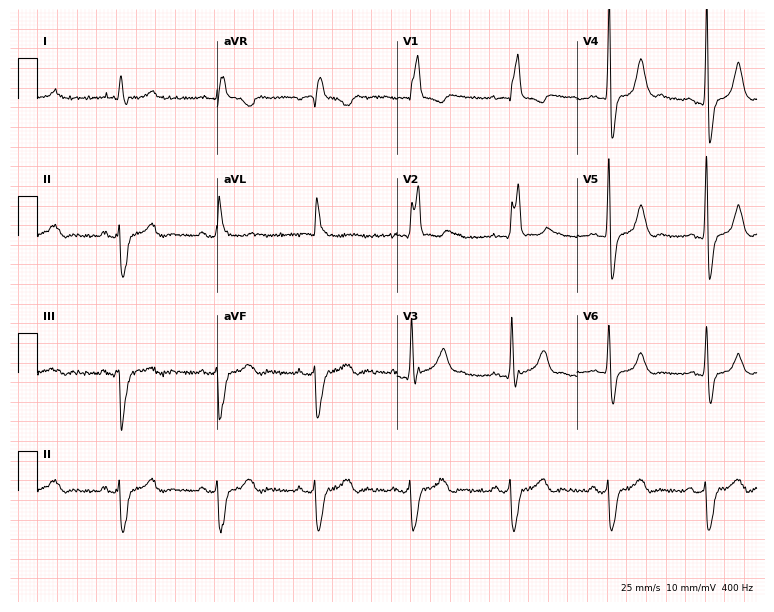
12-lead ECG from a 49-year-old male (7.3-second recording at 400 Hz). Shows right bundle branch block (RBBB).